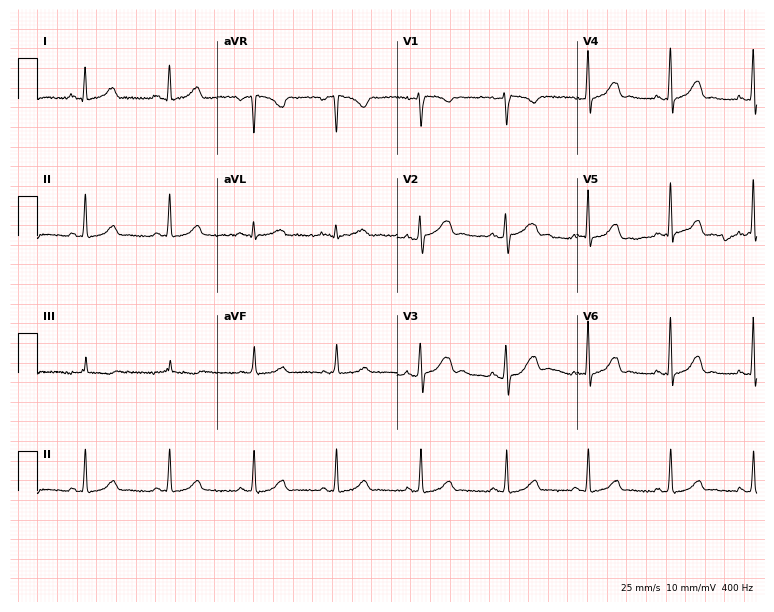
ECG — a 36-year-old female. Screened for six findings — first-degree AV block, right bundle branch block (RBBB), left bundle branch block (LBBB), sinus bradycardia, atrial fibrillation (AF), sinus tachycardia — none is recorded.